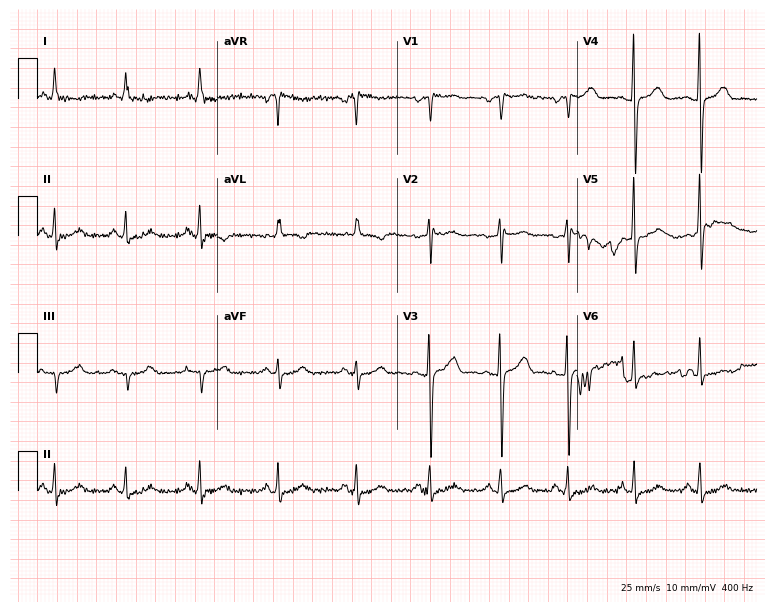
12-lead ECG from a 46-year-old female. Screened for six findings — first-degree AV block, right bundle branch block (RBBB), left bundle branch block (LBBB), sinus bradycardia, atrial fibrillation (AF), sinus tachycardia — none is recorded. Findings outside these six are not listed.